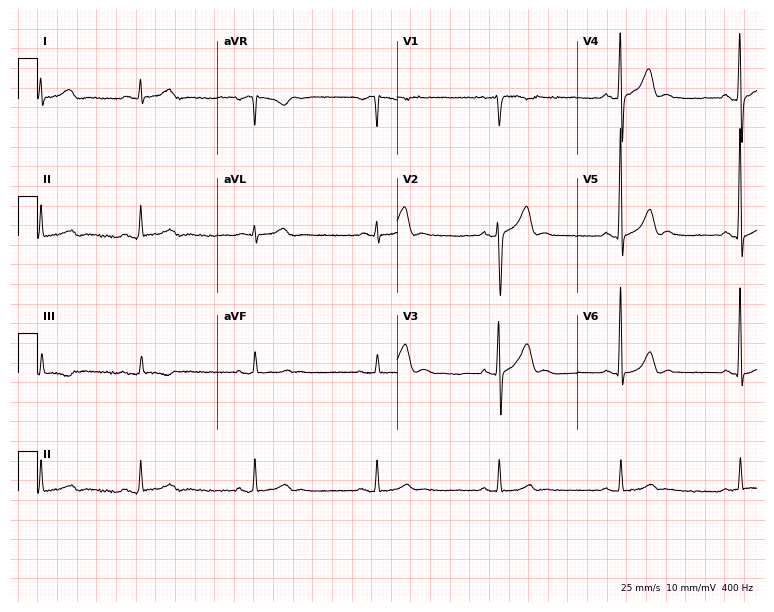
Resting 12-lead electrocardiogram. Patient: a man, 42 years old. Read as a normal ECG.